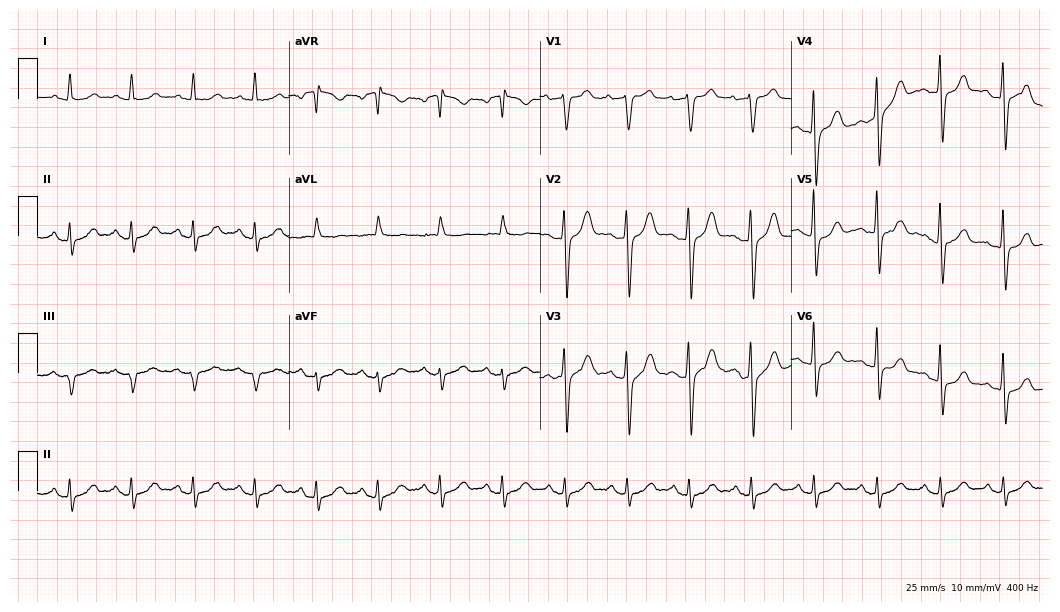
12-lead ECG from a 77-year-old man. Labelled as a normal ECG.